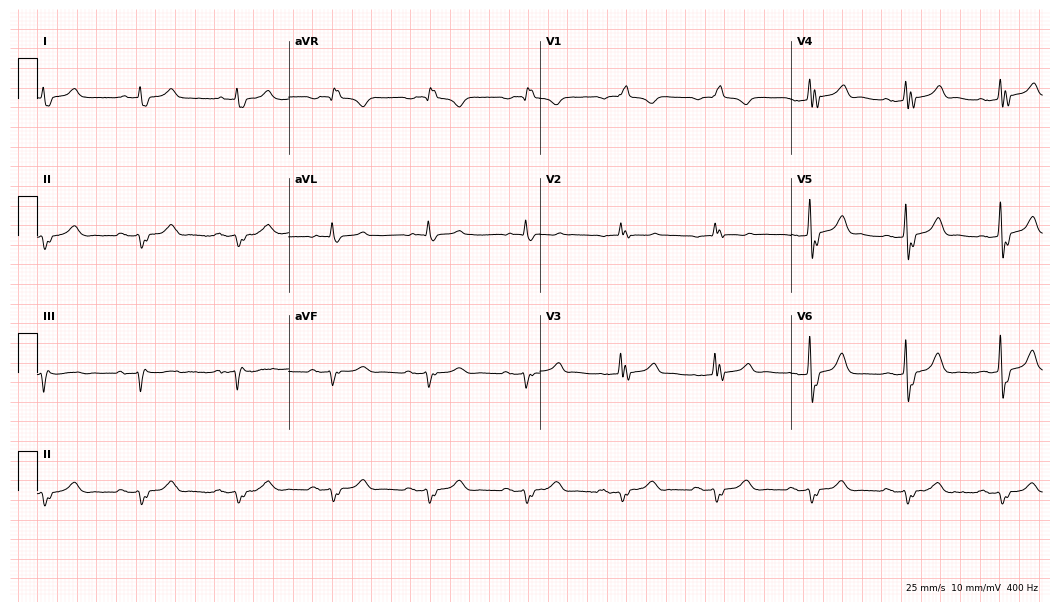
Resting 12-lead electrocardiogram (10.2-second recording at 400 Hz). Patient: a 79-year-old male. The tracing shows right bundle branch block.